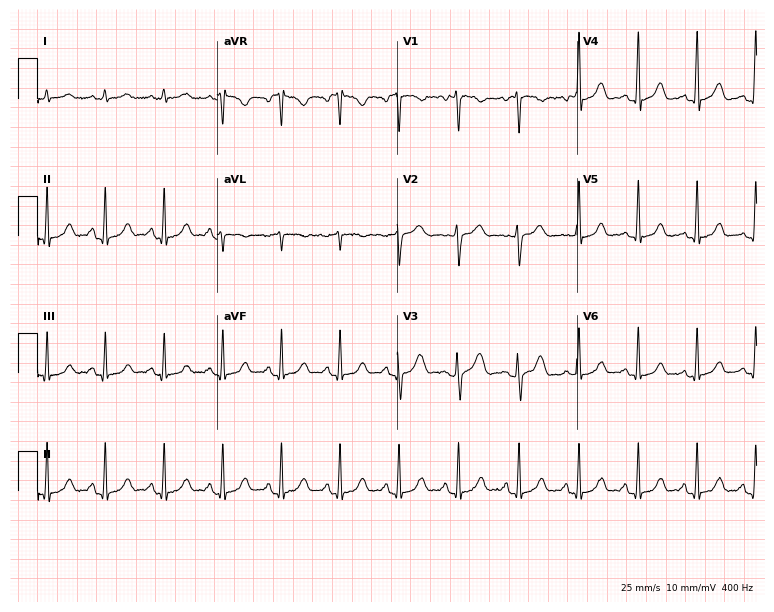
12-lead ECG from a female patient, 37 years old. Labelled as a normal ECG.